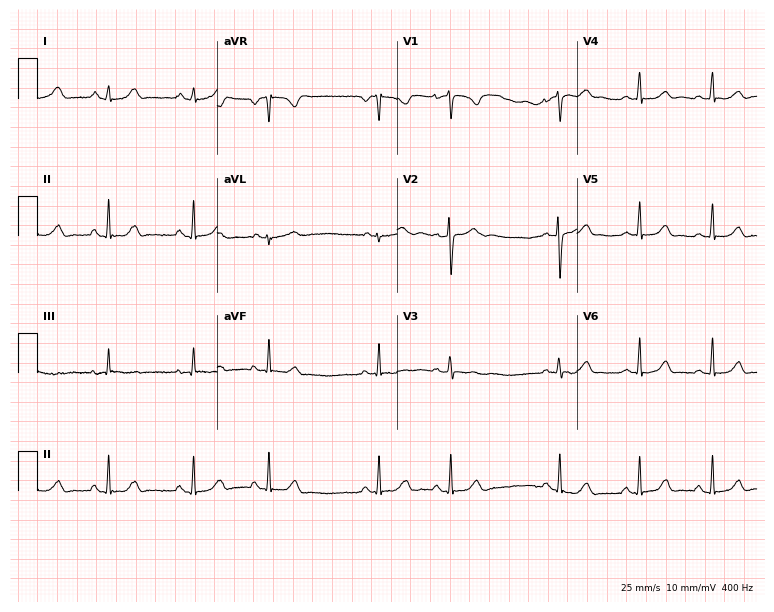
Resting 12-lead electrocardiogram. Patient: a 21-year-old female. Read as a normal ECG.